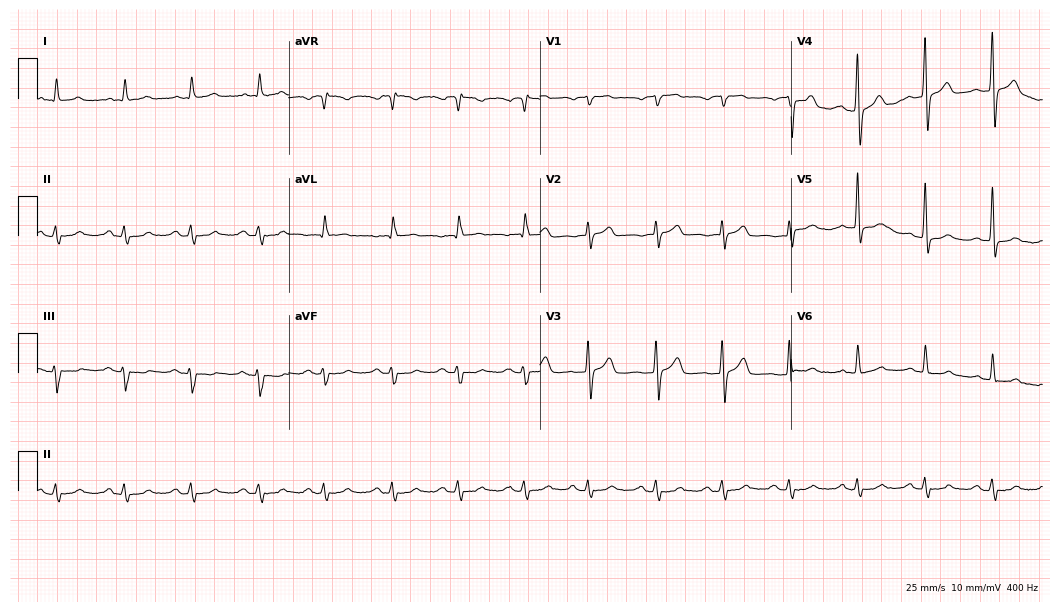
Electrocardiogram, a 76-year-old male patient. Overall reading on record: normal ECG.